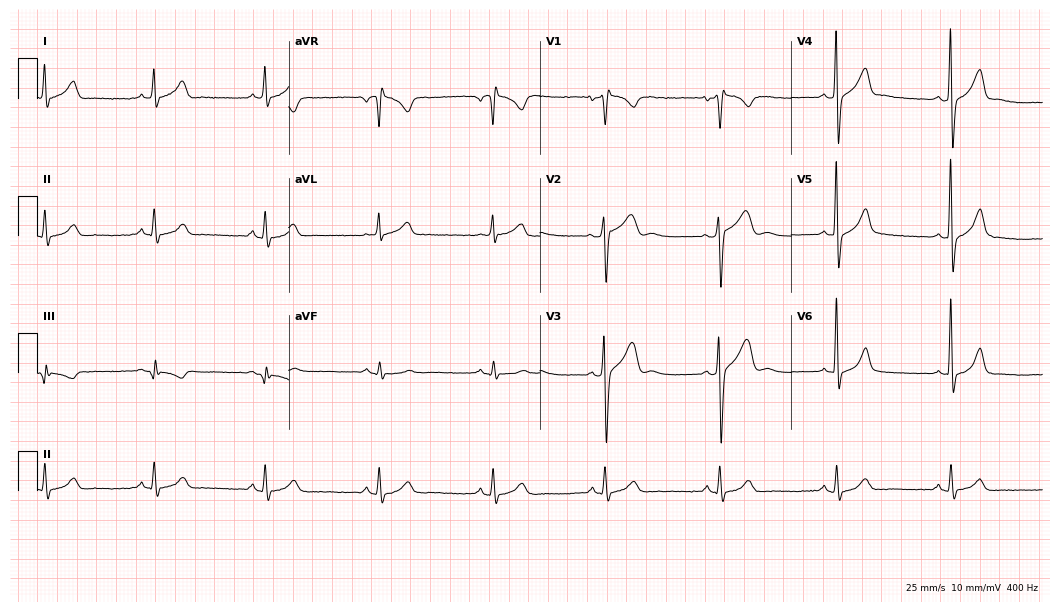
12-lead ECG from a male patient, 37 years old (10.2-second recording at 400 Hz). No first-degree AV block, right bundle branch block (RBBB), left bundle branch block (LBBB), sinus bradycardia, atrial fibrillation (AF) or sinus tachycardia recorded for this tracing. Other findings, if any, are not listed.